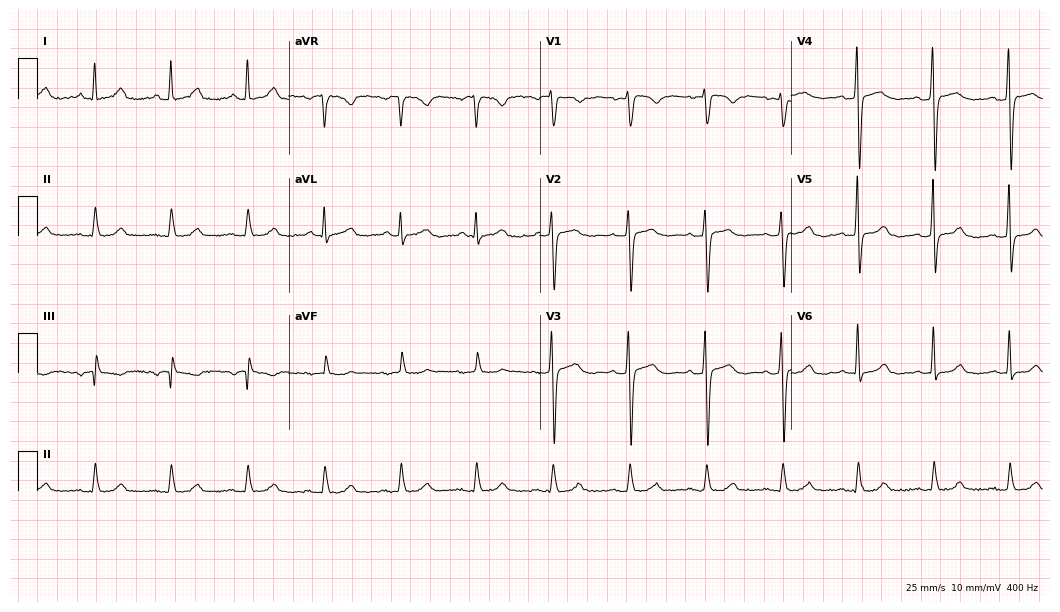
ECG — a 65-year-old woman. Screened for six findings — first-degree AV block, right bundle branch block (RBBB), left bundle branch block (LBBB), sinus bradycardia, atrial fibrillation (AF), sinus tachycardia — none is recorded. Findings outside these six are not listed.